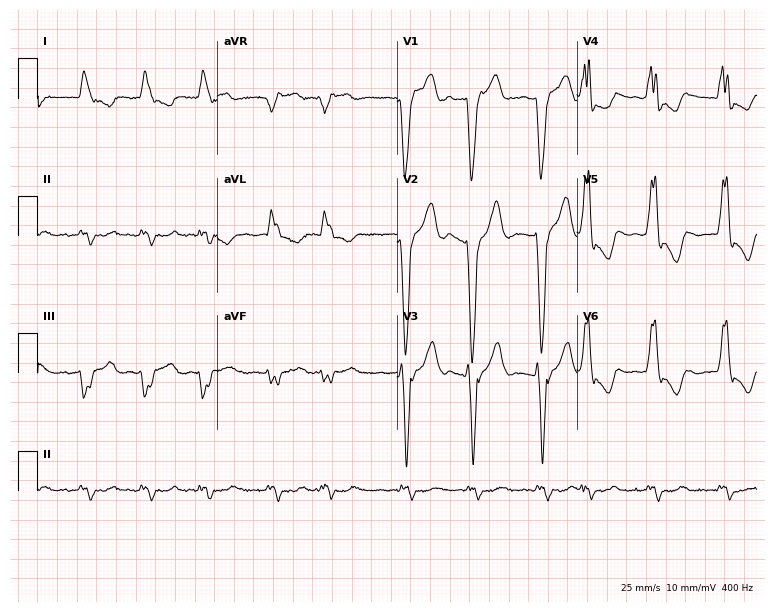
Standard 12-lead ECG recorded from a male patient, 75 years old. The tracing shows left bundle branch block (LBBB), atrial fibrillation (AF).